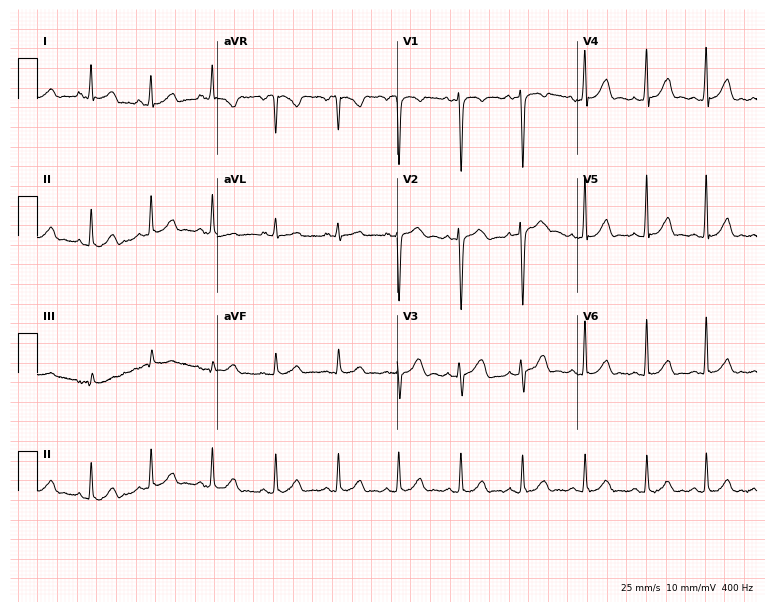
12-lead ECG from a 32-year-old woman (7.3-second recording at 400 Hz). Recorded interpretation: within normal limits.